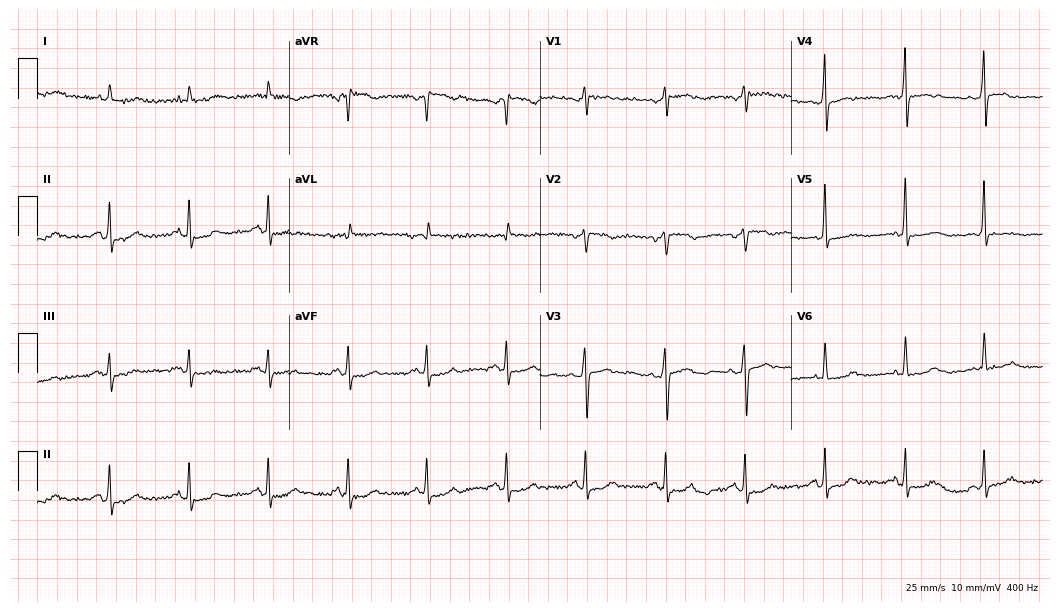
12-lead ECG from a male patient, 72 years old. No first-degree AV block, right bundle branch block, left bundle branch block, sinus bradycardia, atrial fibrillation or sinus tachycardia recorded for this tracing.